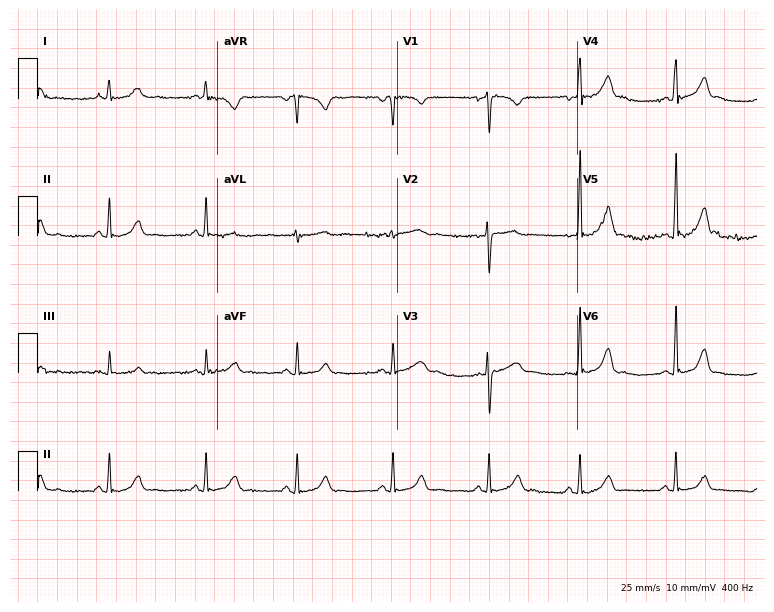
ECG (7.3-second recording at 400 Hz) — a woman, 21 years old. Screened for six findings — first-degree AV block, right bundle branch block (RBBB), left bundle branch block (LBBB), sinus bradycardia, atrial fibrillation (AF), sinus tachycardia — none is recorded.